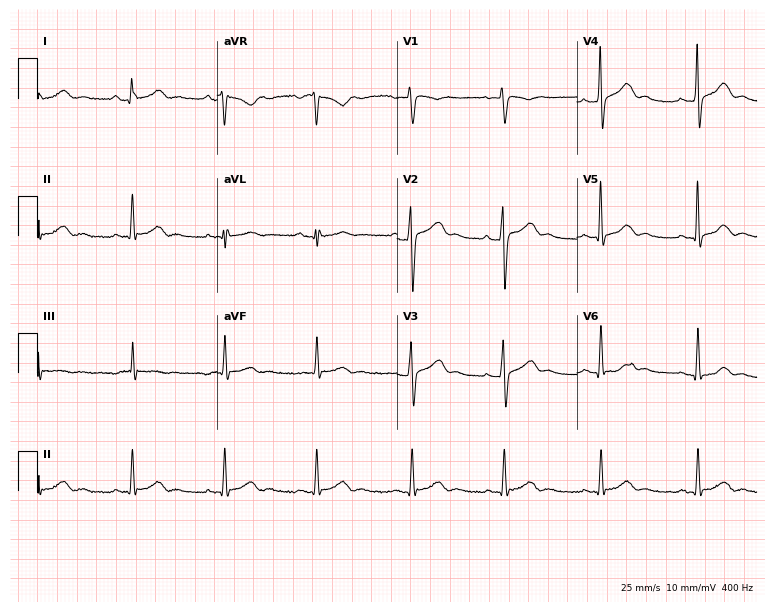
12-lead ECG from a 22-year-old female (7.3-second recording at 400 Hz). Recorded interpretation: within normal limits.